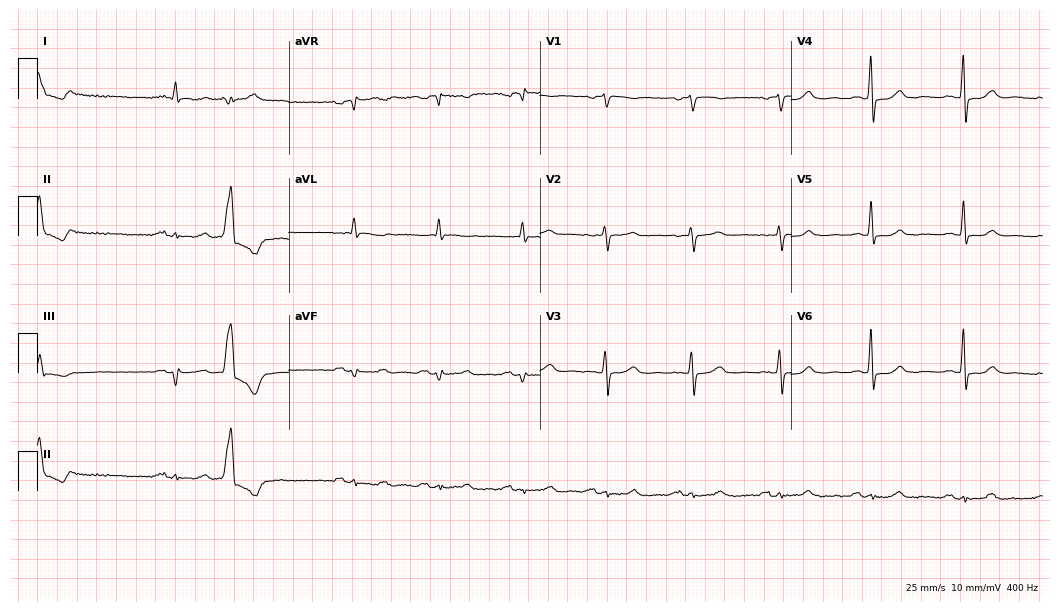
ECG — a 76-year-old male. Labelled as a normal ECG.